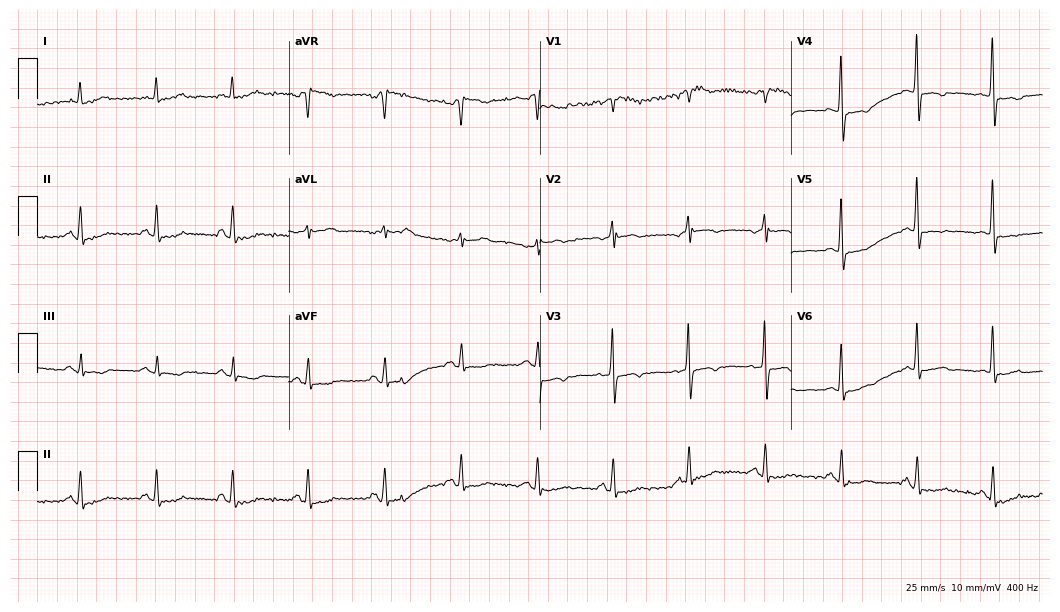
Electrocardiogram, a female patient, 77 years old. Of the six screened findings (first-degree AV block, right bundle branch block (RBBB), left bundle branch block (LBBB), sinus bradycardia, atrial fibrillation (AF), sinus tachycardia), none is recorded.